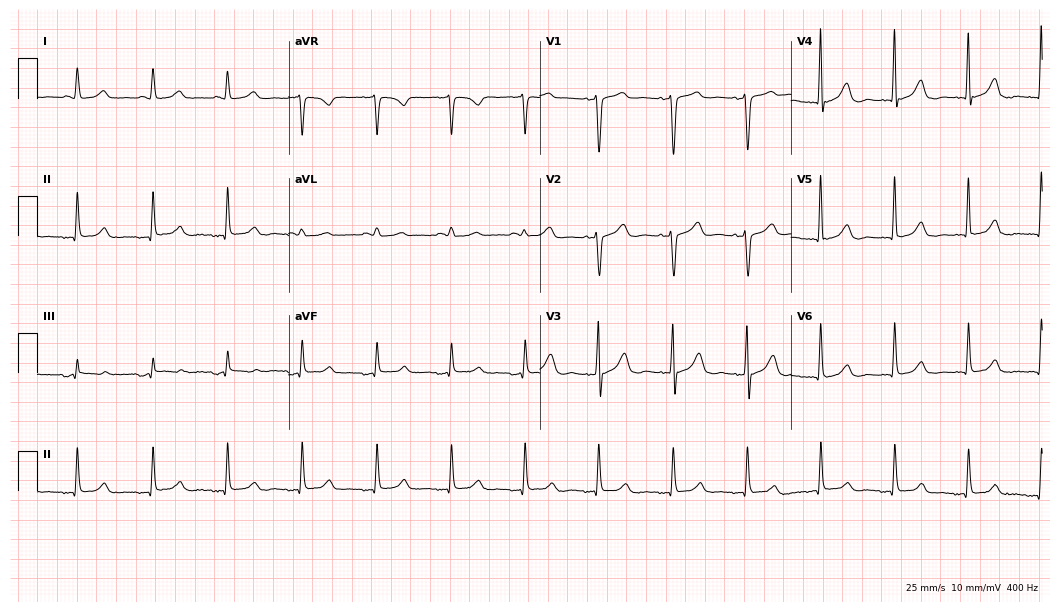
Resting 12-lead electrocardiogram. Patient: a 56-year-old female. None of these six findings is recorded: first-degree AV block, right bundle branch block (RBBB), left bundle branch block (LBBB), sinus bradycardia, atrial fibrillation (AF), sinus tachycardia. Only these six findings were labelled.